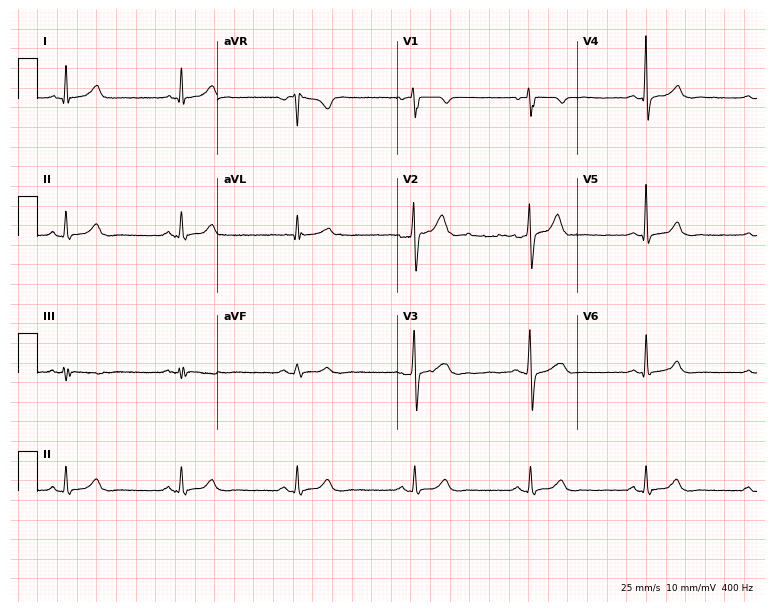
Electrocardiogram (7.3-second recording at 400 Hz), a male, 40 years old. Overall reading on record: normal ECG.